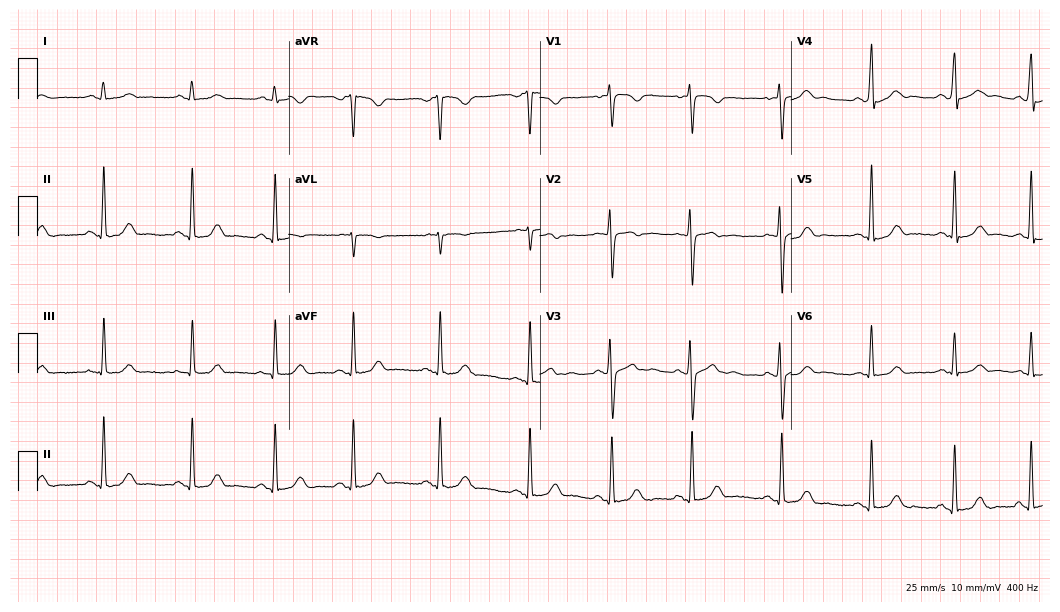
Electrocardiogram (10.2-second recording at 400 Hz), a female, 24 years old. Overall reading on record: normal ECG.